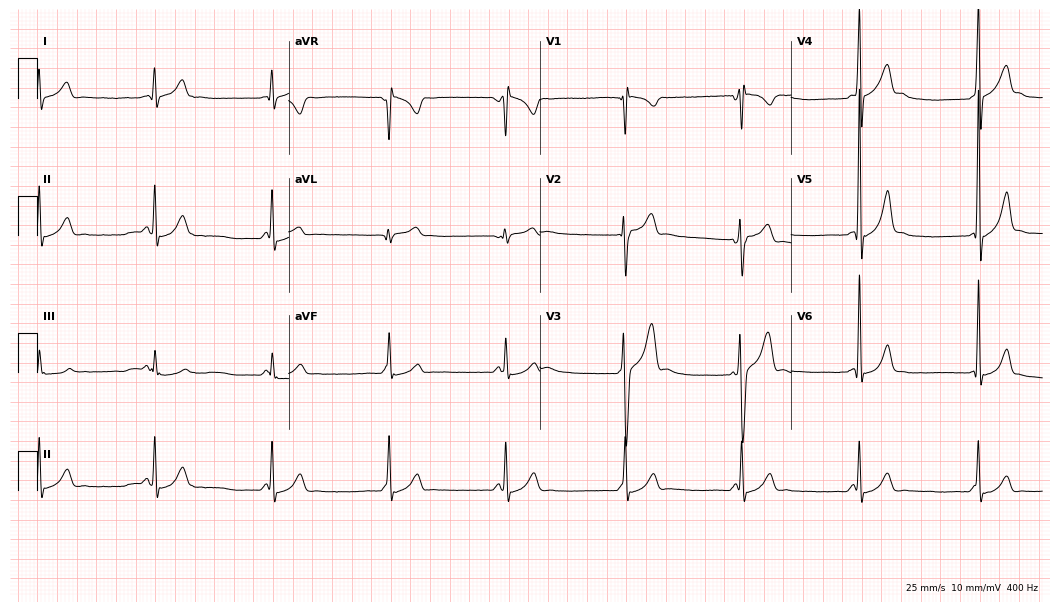
Standard 12-lead ECG recorded from a 17-year-old male (10.2-second recording at 400 Hz). None of these six findings is recorded: first-degree AV block, right bundle branch block, left bundle branch block, sinus bradycardia, atrial fibrillation, sinus tachycardia.